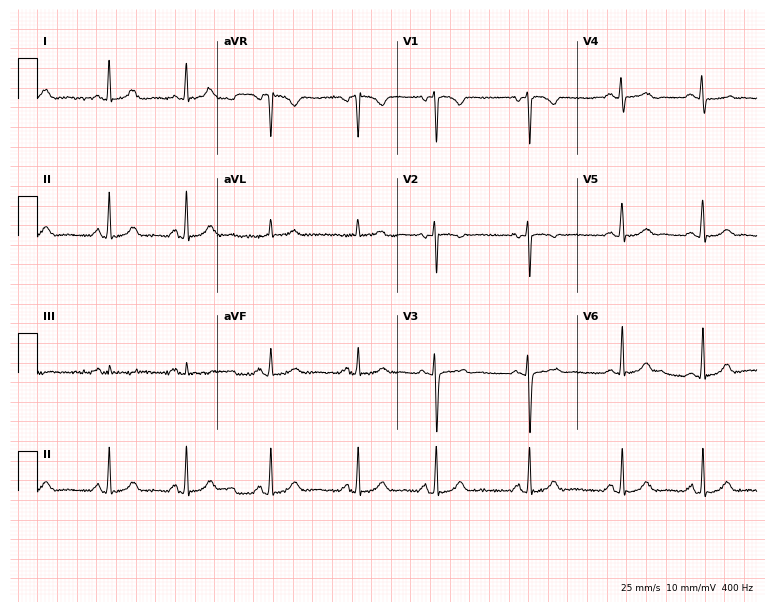
ECG (7.3-second recording at 400 Hz) — a woman, 18 years old. Labelled as a normal ECG.